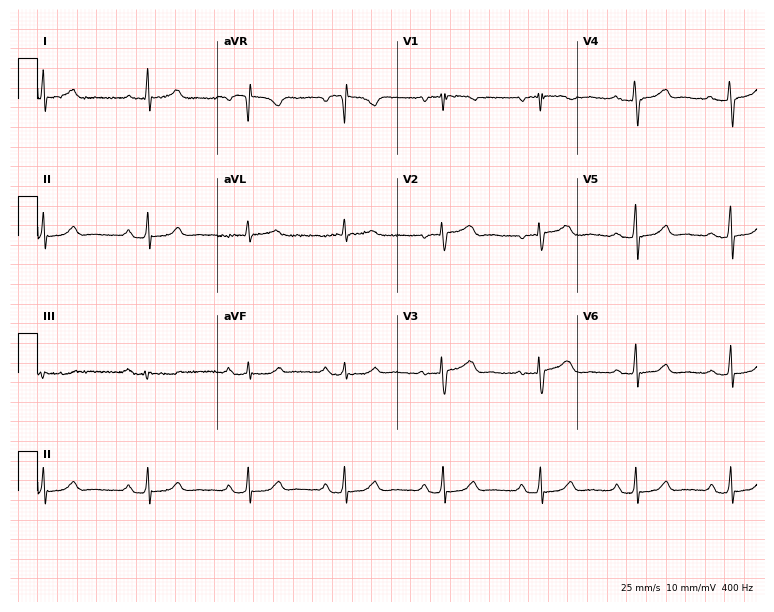
Electrocardiogram (7.3-second recording at 400 Hz), a female, 48 years old. Overall reading on record: normal ECG.